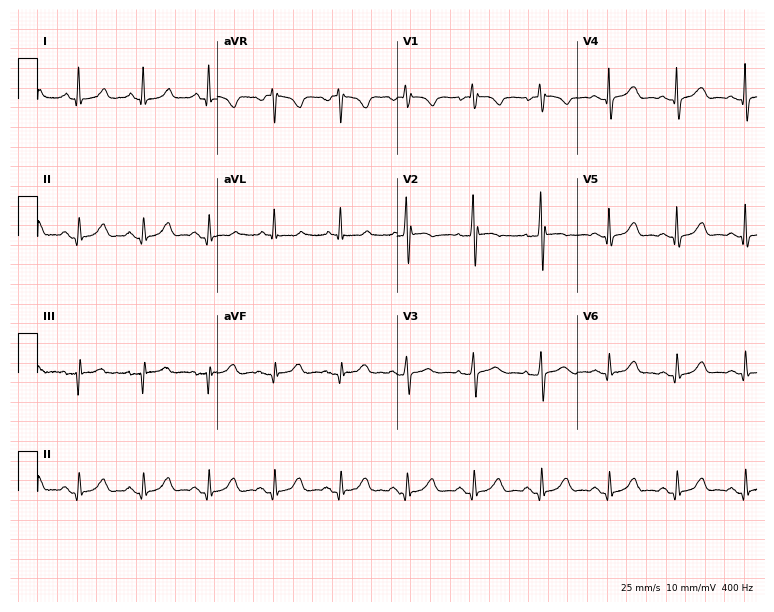
Standard 12-lead ECG recorded from an 80-year-old female. Read as a normal ECG.